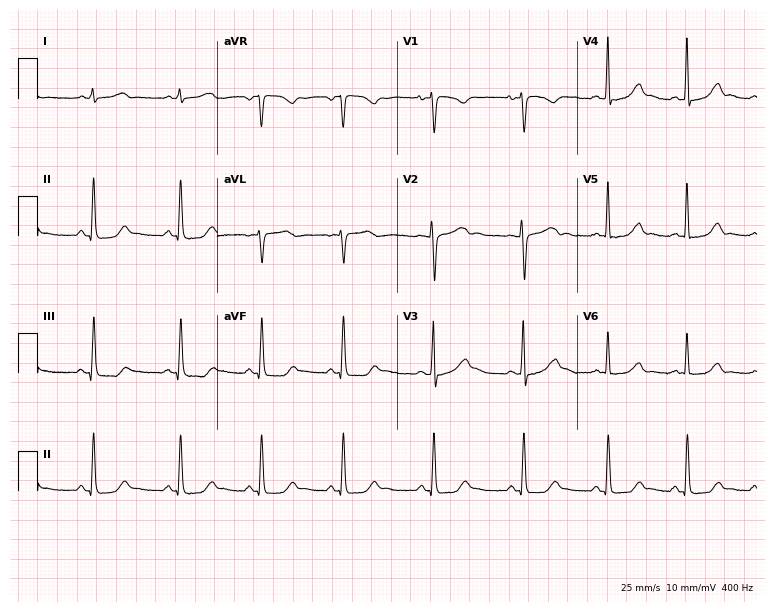
Standard 12-lead ECG recorded from a 30-year-old female patient (7.3-second recording at 400 Hz). Read as a normal ECG.